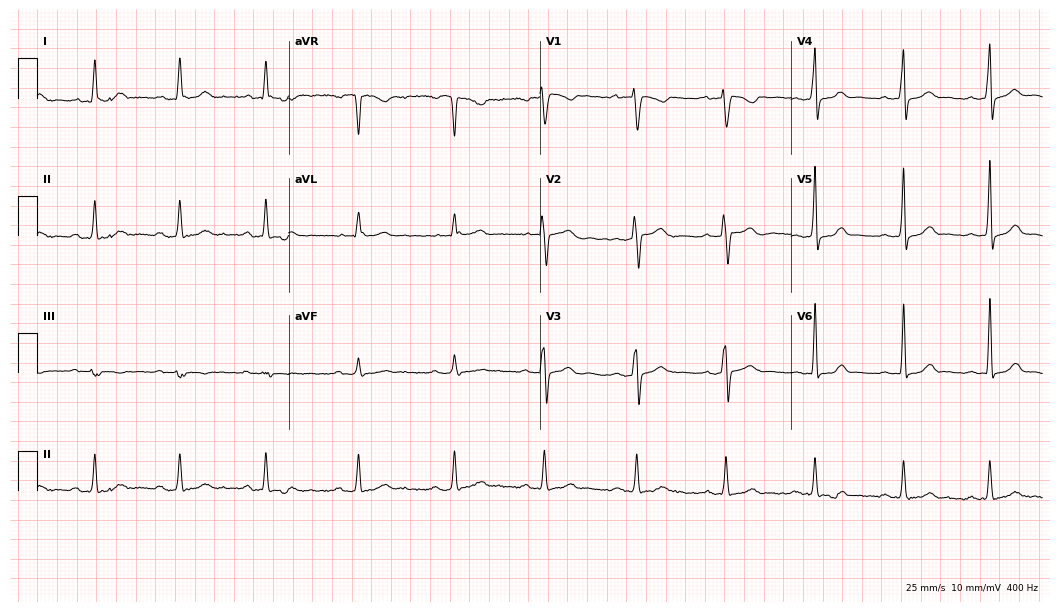
12-lead ECG (10.2-second recording at 400 Hz) from a 24-year-old woman. Screened for six findings — first-degree AV block, right bundle branch block (RBBB), left bundle branch block (LBBB), sinus bradycardia, atrial fibrillation (AF), sinus tachycardia — none is recorded.